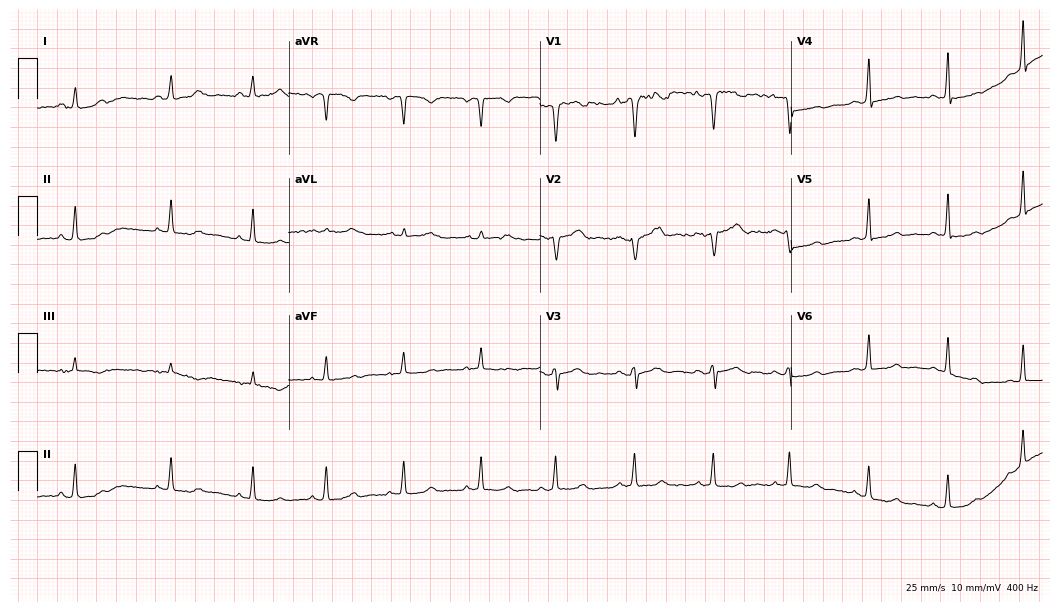
12-lead ECG from a 30-year-old woman. Recorded interpretation: within normal limits.